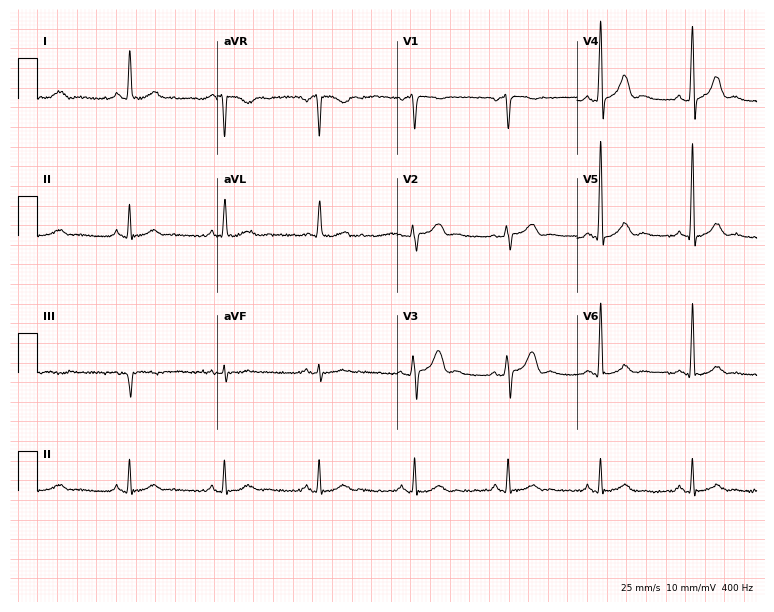
12-lead ECG (7.3-second recording at 400 Hz) from a 67-year-old male. Labelled as a normal ECG.